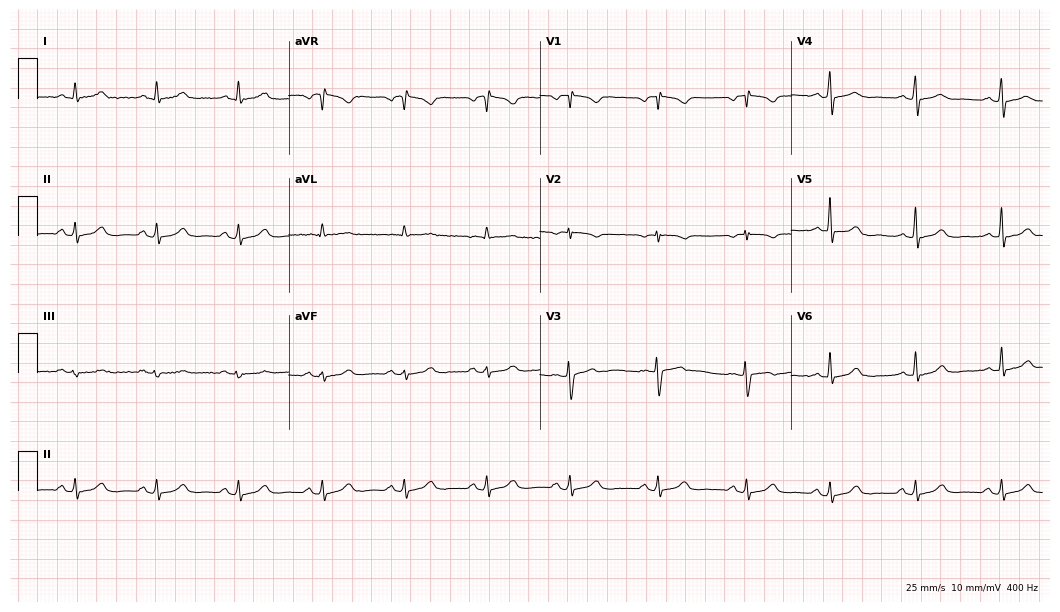
Electrocardiogram, a female patient, 45 years old. Of the six screened findings (first-degree AV block, right bundle branch block, left bundle branch block, sinus bradycardia, atrial fibrillation, sinus tachycardia), none is recorded.